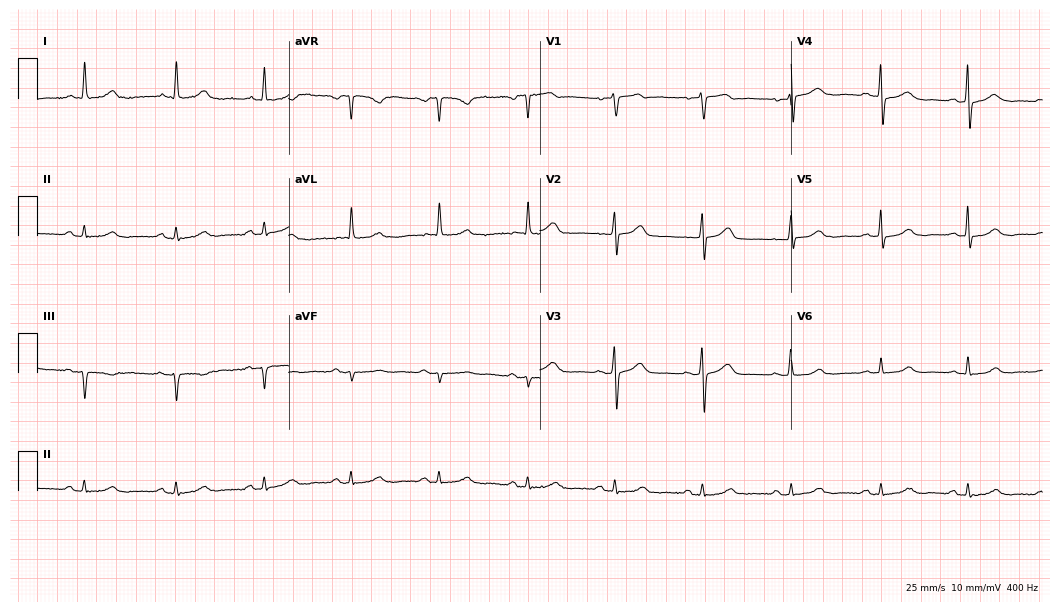
12-lead ECG (10.2-second recording at 400 Hz) from a 66-year-old female patient. Labelled as a normal ECG.